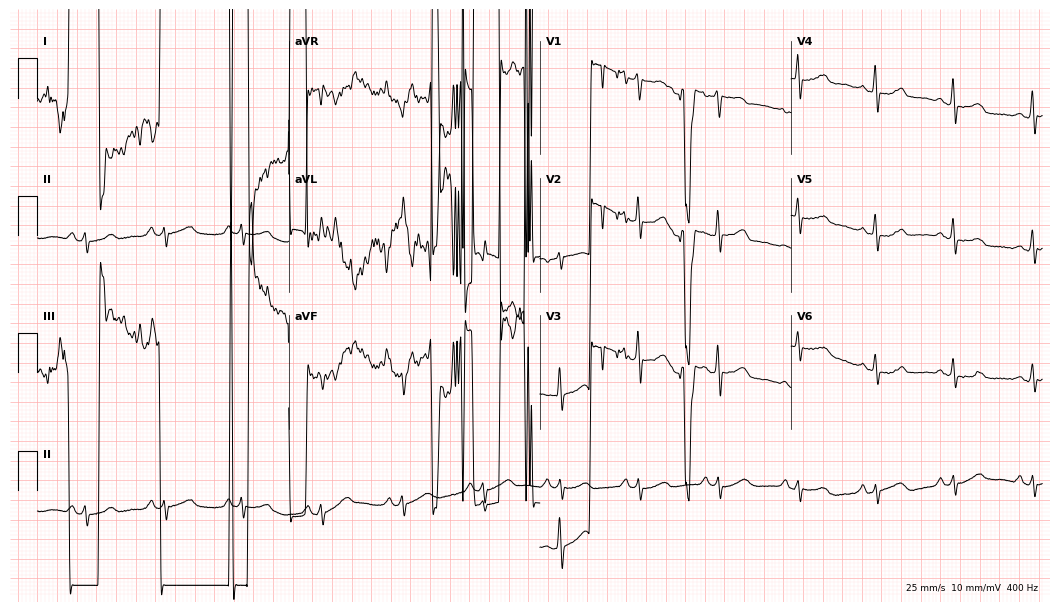
12-lead ECG from a female patient, 52 years old. No first-degree AV block, right bundle branch block, left bundle branch block, sinus bradycardia, atrial fibrillation or sinus tachycardia recorded for this tracing. Other findings, if any, are not listed.